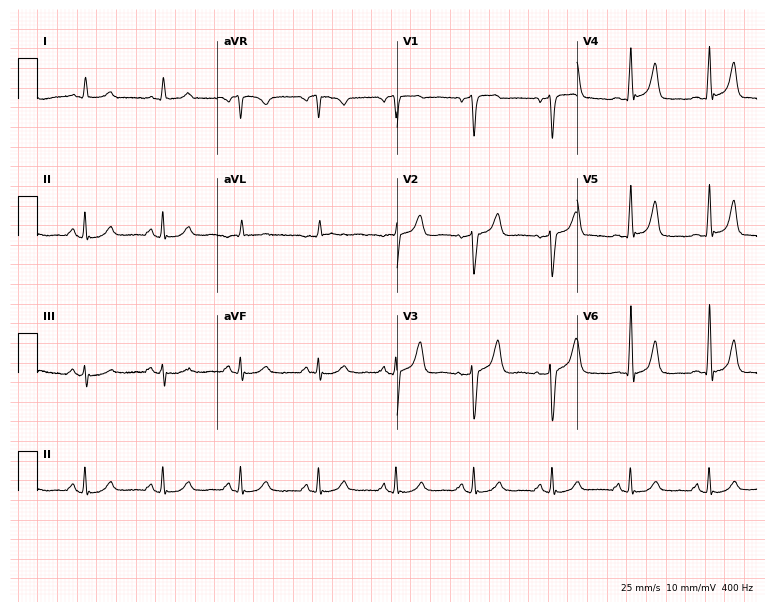
12-lead ECG from a male patient, 75 years old (7.3-second recording at 400 Hz). No first-degree AV block, right bundle branch block (RBBB), left bundle branch block (LBBB), sinus bradycardia, atrial fibrillation (AF) or sinus tachycardia recorded for this tracing. Other findings, if any, are not listed.